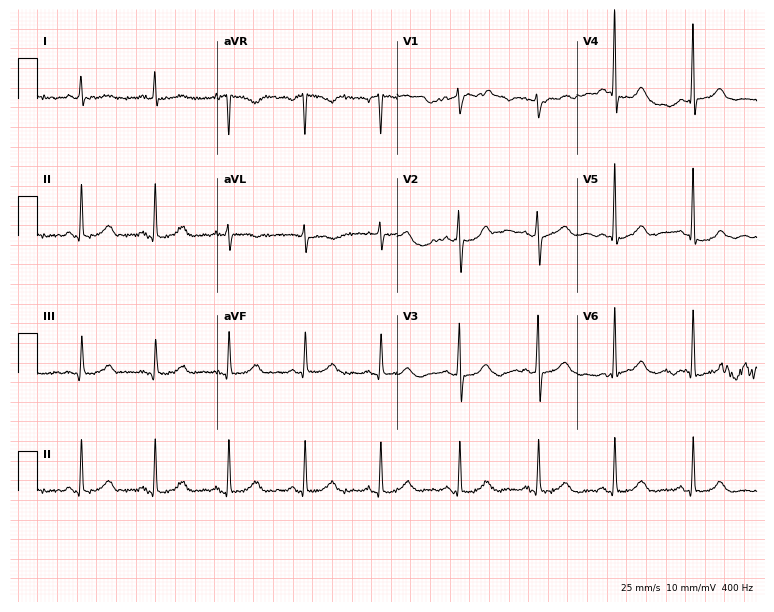
Electrocardiogram, a woman, 60 years old. Of the six screened findings (first-degree AV block, right bundle branch block, left bundle branch block, sinus bradycardia, atrial fibrillation, sinus tachycardia), none is recorded.